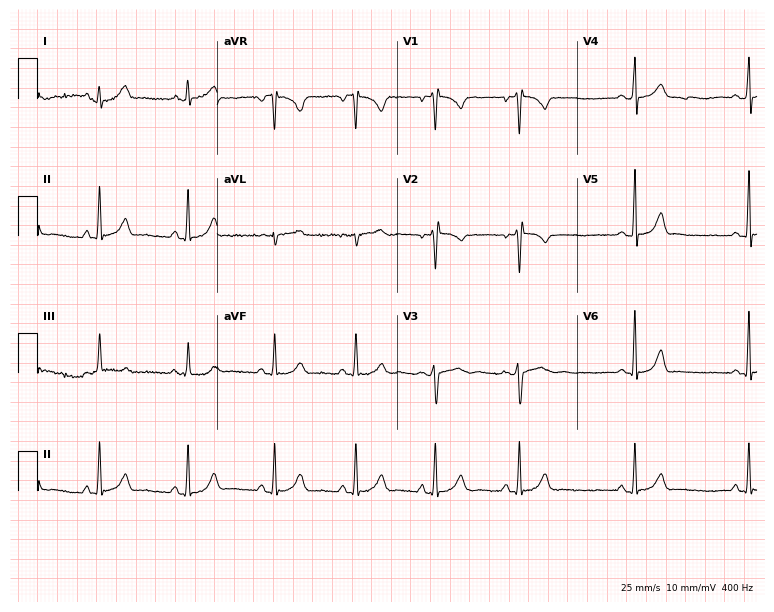
12-lead ECG from a 25-year-old woman. Screened for six findings — first-degree AV block, right bundle branch block, left bundle branch block, sinus bradycardia, atrial fibrillation, sinus tachycardia — none is recorded.